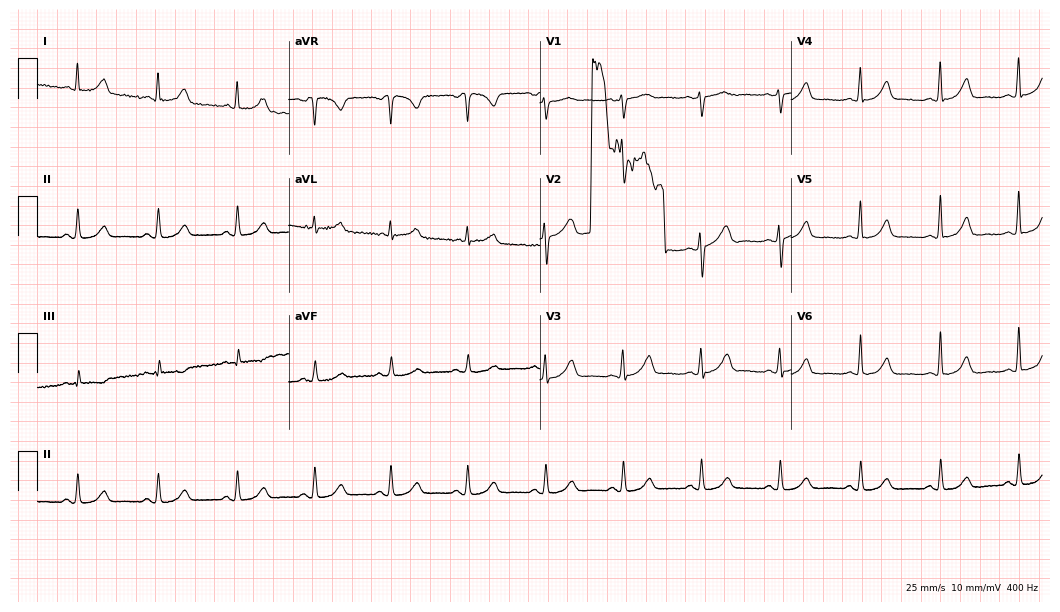
Standard 12-lead ECG recorded from a female, 43 years old (10.2-second recording at 400 Hz). Read as a normal ECG.